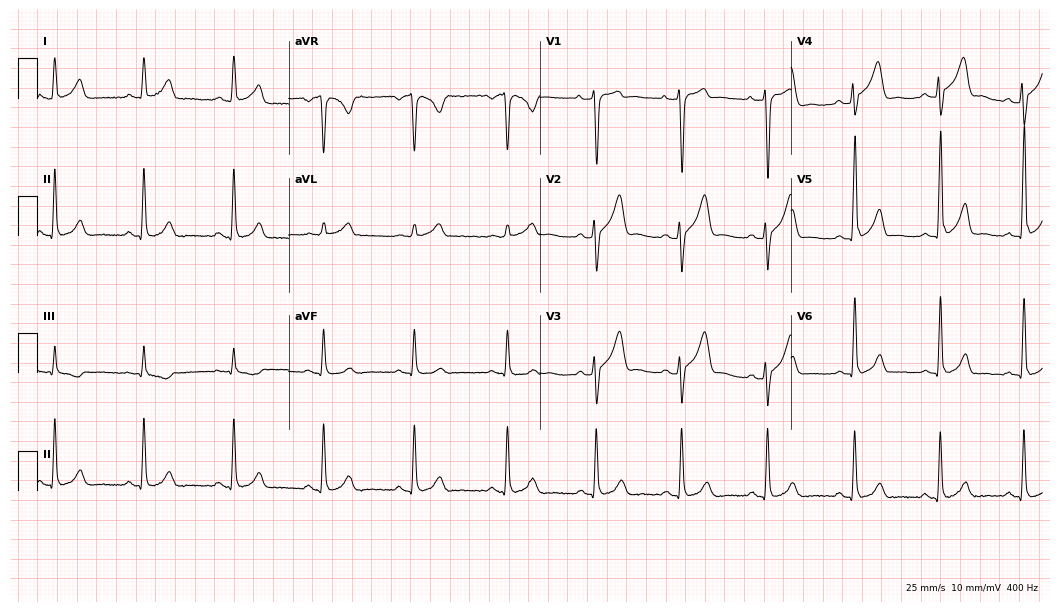
Standard 12-lead ECG recorded from a 31-year-old male patient. None of these six findings is recorded: first-degree AV block, right bundle branch block (RBBB), left bundle branch block (LBBB), sinus bradycardia, atrial fibrillation (AF), sinus tachycardia.